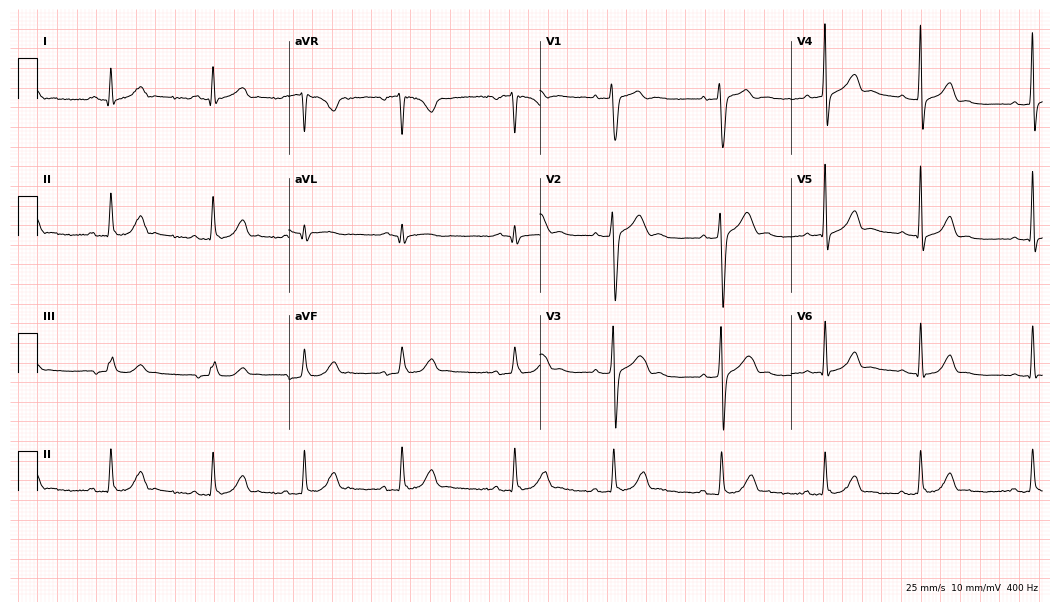
Resting 12-lead electrocardiogram (10.2-second recording at 400 Hz). Patient: a 26-year-old male. None of these six findings is recorded: first-degree AV block, right bundle branch block (RBBB), left bundle branch block (LBBB), sinus bradycardia, atrial fibrillation (AF), sinus tachycardia. Other findings, if any, are not listed.